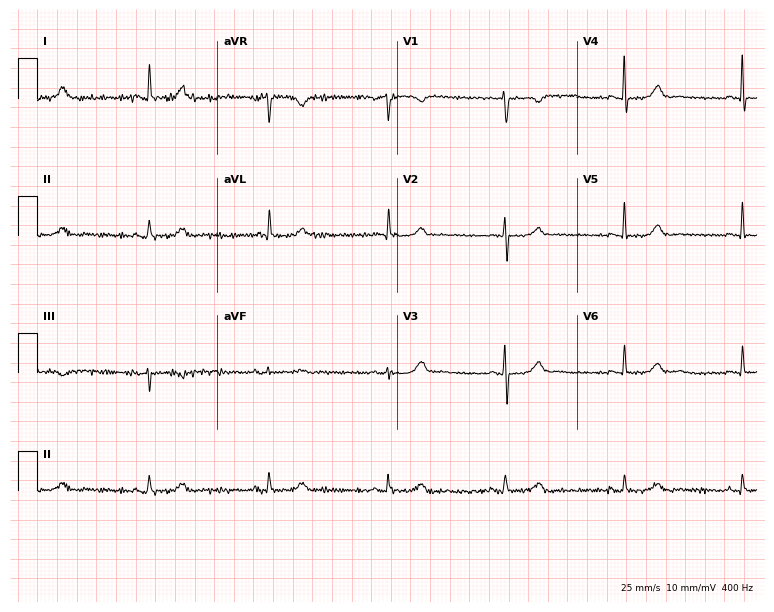
Standard 12-lead ECG recorded from an 80-year-old female patient (7.3-second recording at 400 Hz). None of these six findings is recorded: first-degree AV block, right bundle branch block, left bundle branch block, sinus bradycardia, atrial fibrillation, sinus tachycardia.